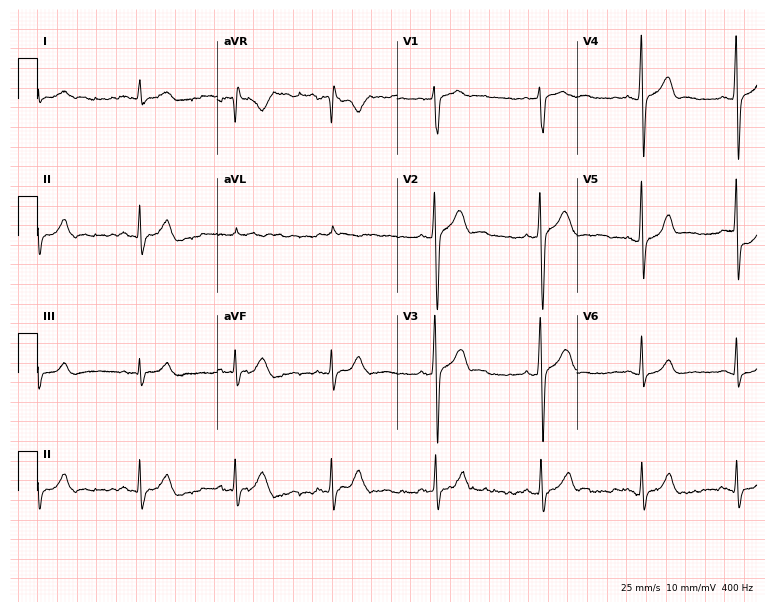
Electrocardiogram, a 21-year-old man. Of the six screened findings (first-degree AV block, right bundle branch block (RBBB), left bundle branch block (LBBB), sinus bradycardia, atrial fibrillation (AF), sinus tachycardia), none is recorded.